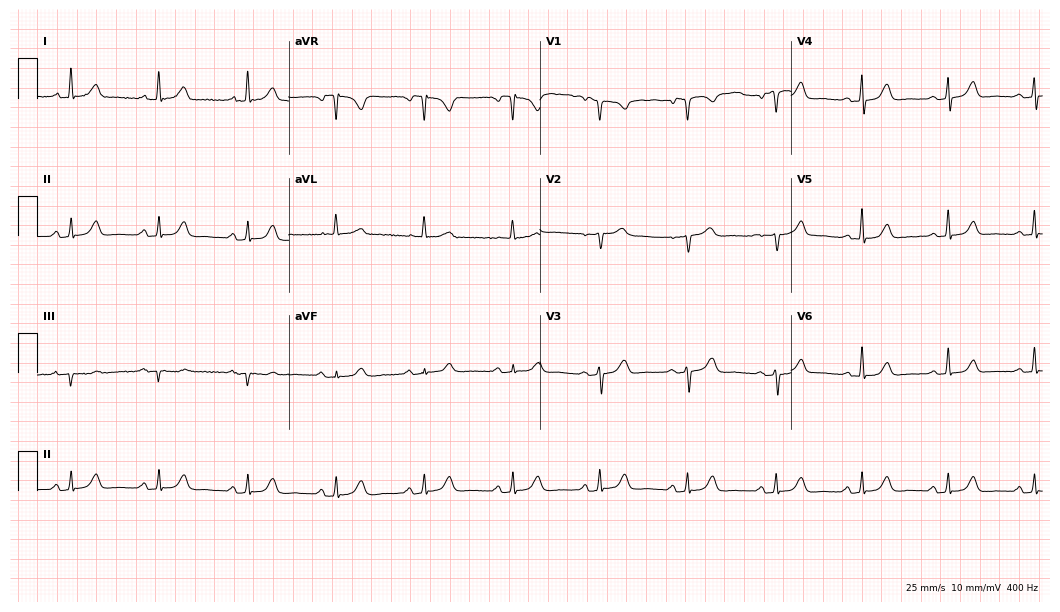
ECG (10.2-second recording at 400 Hz) — a female patient, 69 years old. Labelled as a normal ECG.